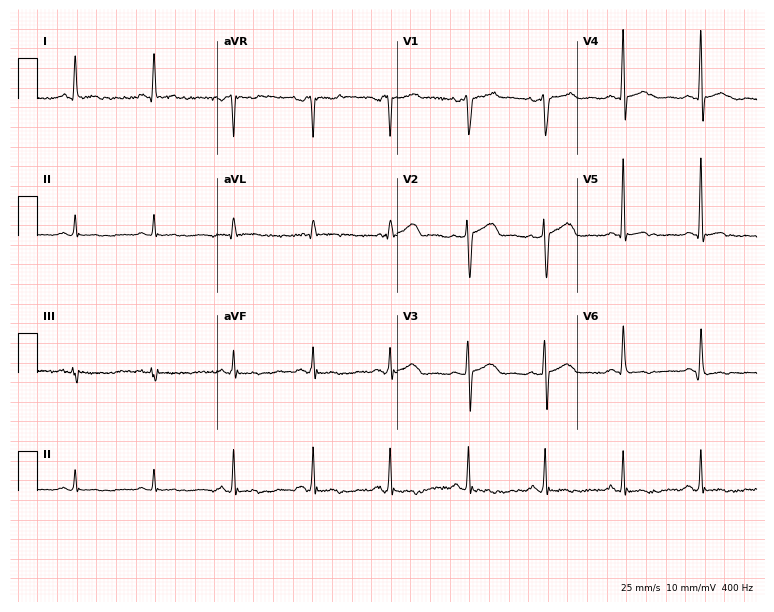
Standard 12-lead ECG recorded from a 60-year-old male patient (7.3-second recording at 400 Hz). None of these six findings is recorded: first-degree AV block, right bundle branch block, left bundle branch block, sinus bradycardia, atrial fibrillation, sinus tachycardia. Only these six findings were labelled.